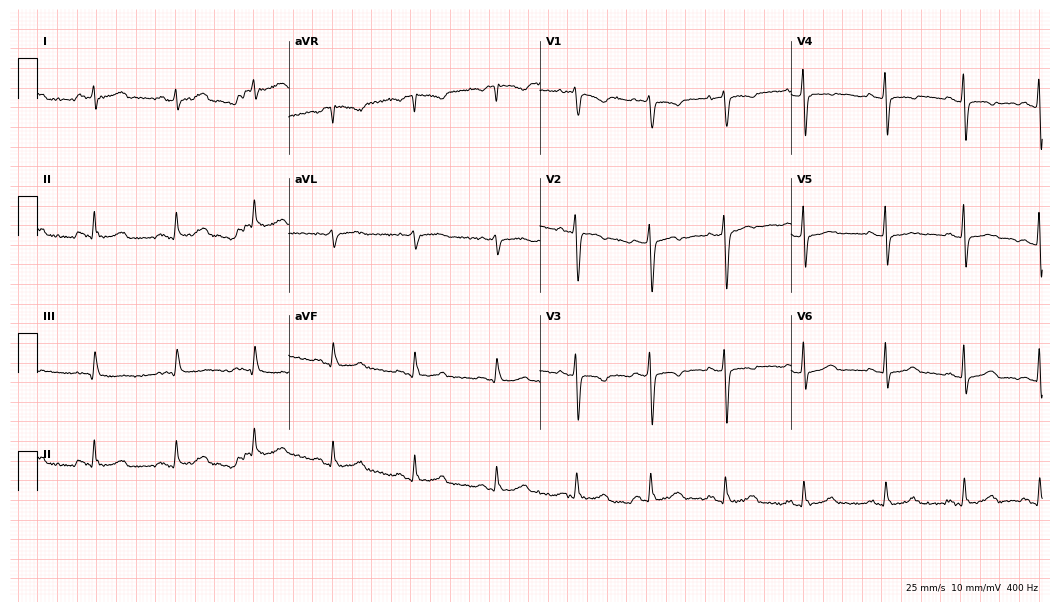
12-lead ECG from a 27-year-old woman (10.2-second recording at 400 Hz). No first-degree AV block, right bundle branch block (RBBB), left bundle branch block (LBBB), sinus bradycardia, atrial fibrillation (AF) or sinus tachycardia recorded for this tracing.